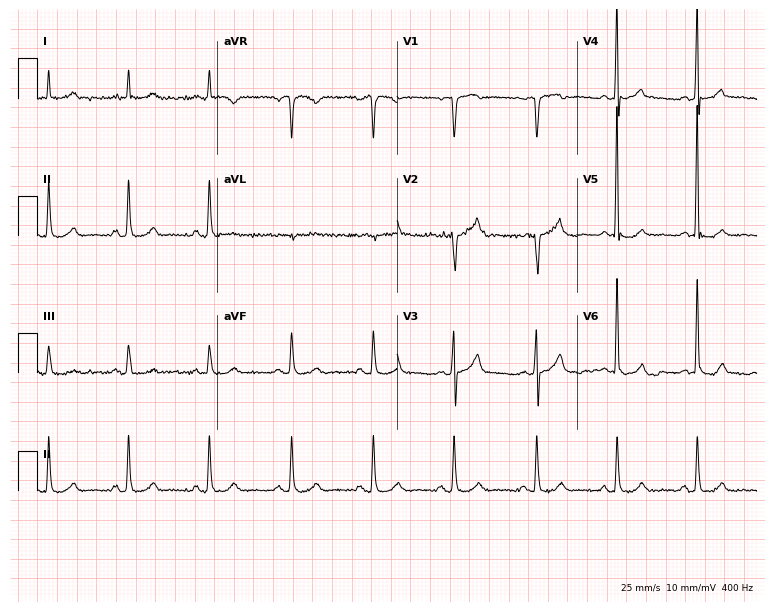
12-lead ECG from a male, 70 years old. Labelled as a normal ECG.